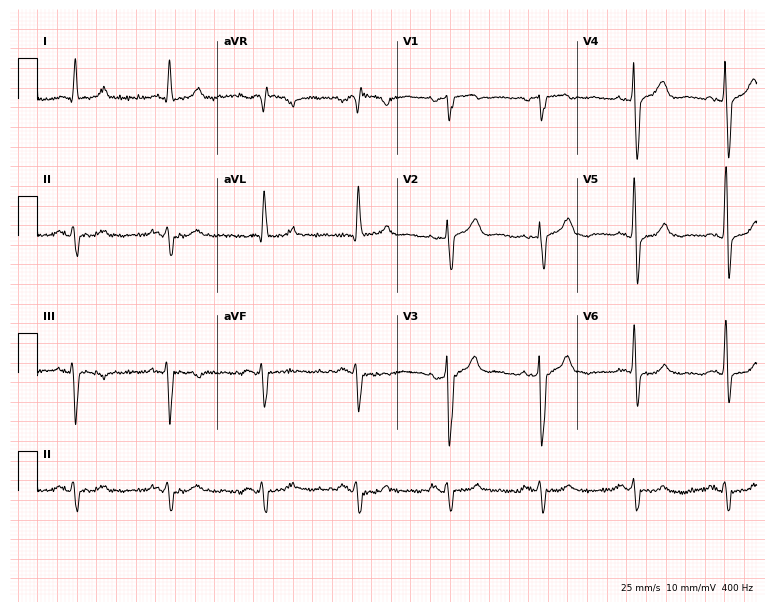
12-lead ECG from a 71-year-old man. Labelled as a normal ECG.